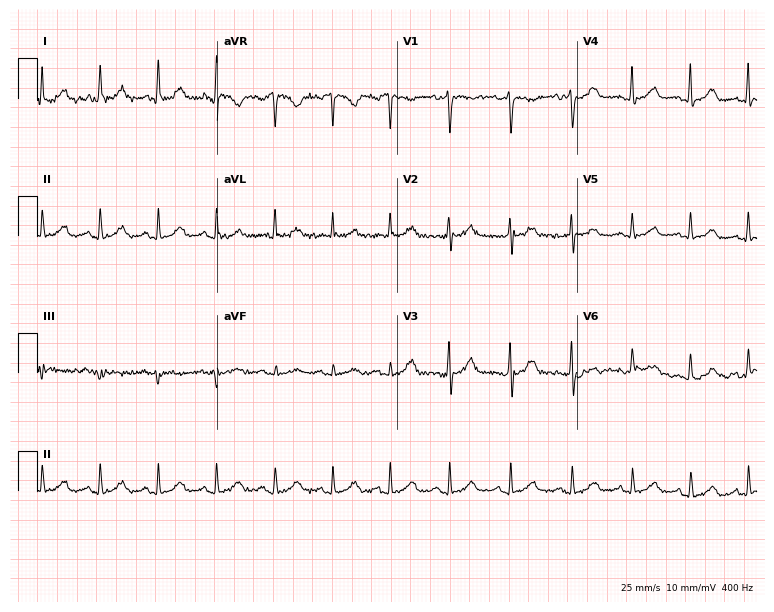
12-lead ECG from a woman, 38 years old. Shows sinus tachycardia (a sinus rate of 100 beats per minute or more).